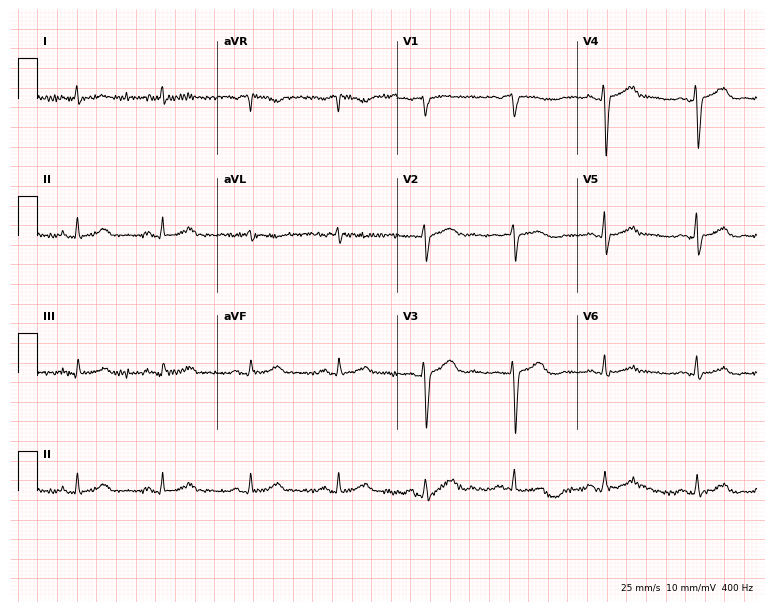
Resting 12-lead electrocardiogram (7.3-second recording at 400 Hz). Patient: a female, 60 years old. Read as a normal ECG.